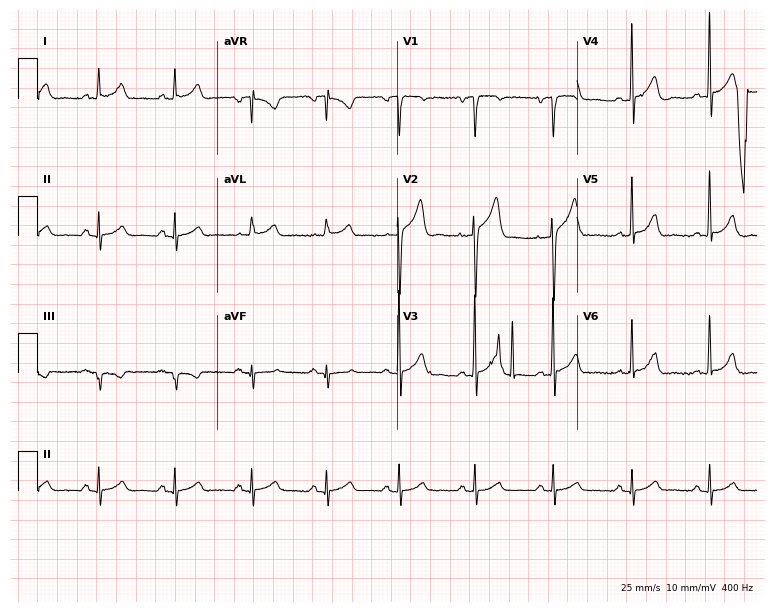
Resting 12-lead electrocardiogram (7.3-second recording at 400 Hz). Patient: a 65-year-old man. None of these six findings is recorded: first-degree AV block, right bundle branch block (RBBB), left bundle branch block (LBBB), sinus bradycardia, atrial fibrillation (AF), sinus tachycardia.